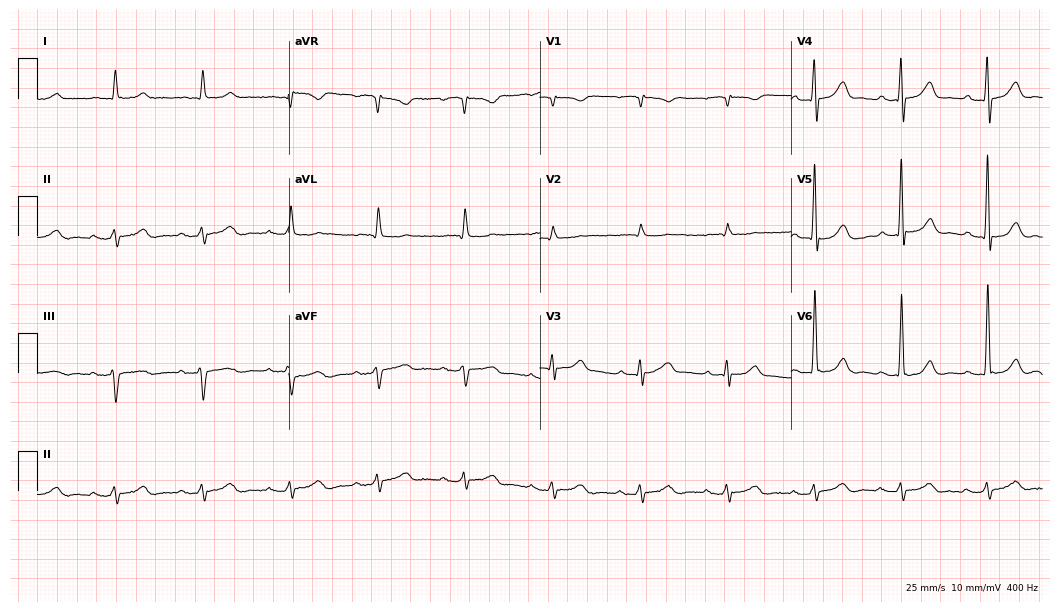
Standard 12-lead ECG recorded from a male, 83 years old (10.2-second recording at 400 Hz). Read as a normal ECG.